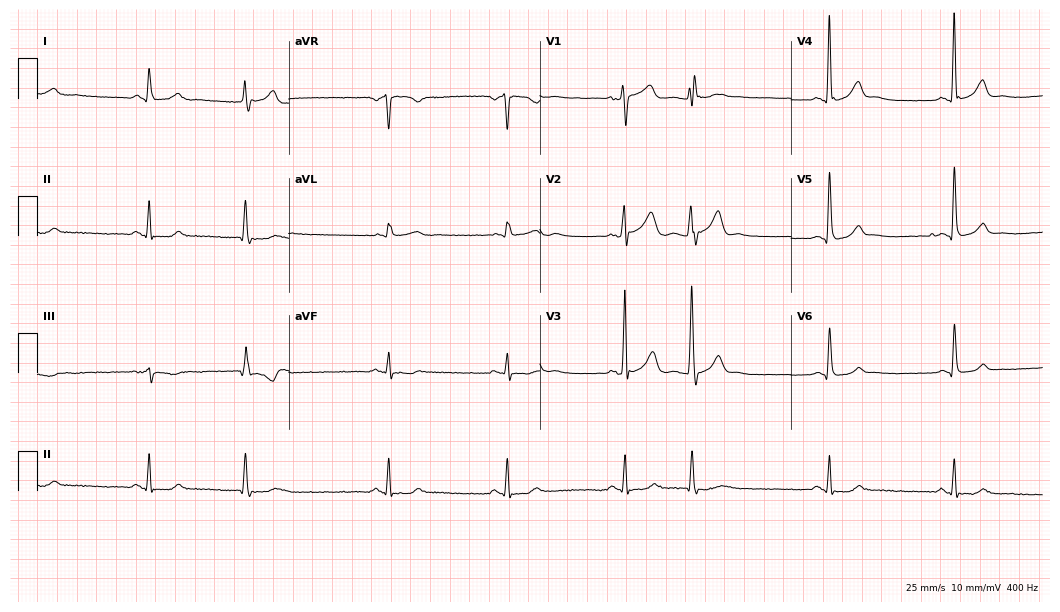
12-lead ECG from a 64-year-old male. Shows sinus bradycardia (a sinus rate of 50 beats per minute or less).